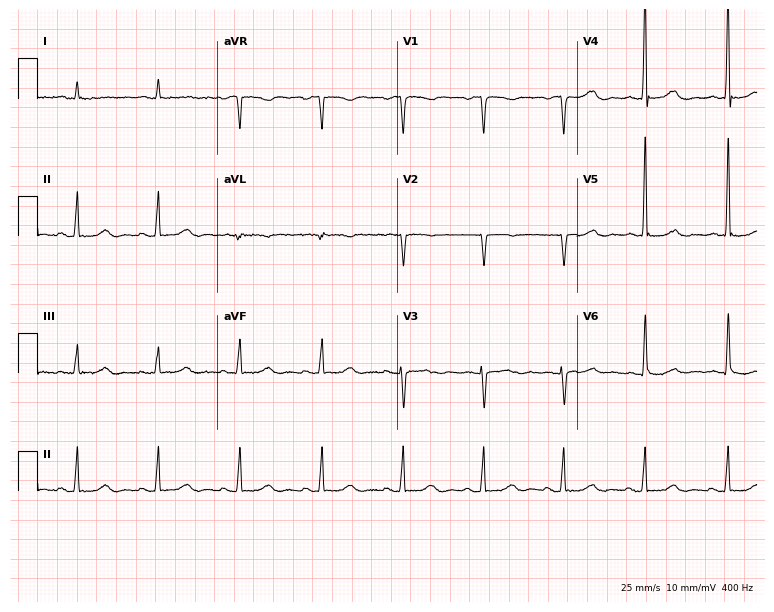
12-lead ECG from a 35-year-old female. No first-degree AV block, right bundle branch block (RBBB), left bundle branch block (LBBB), sinus bradycardia, atrial fibrillation (AF) or sinus tachycardia recorded for this tracing. Only these six findings were labelled.